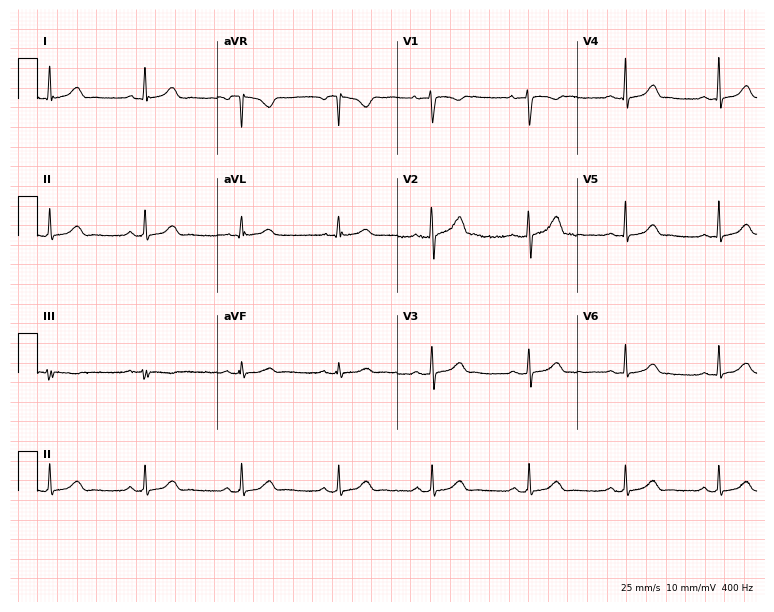
ECG — a 33-year-old woman. Labelled as a normal ECG.